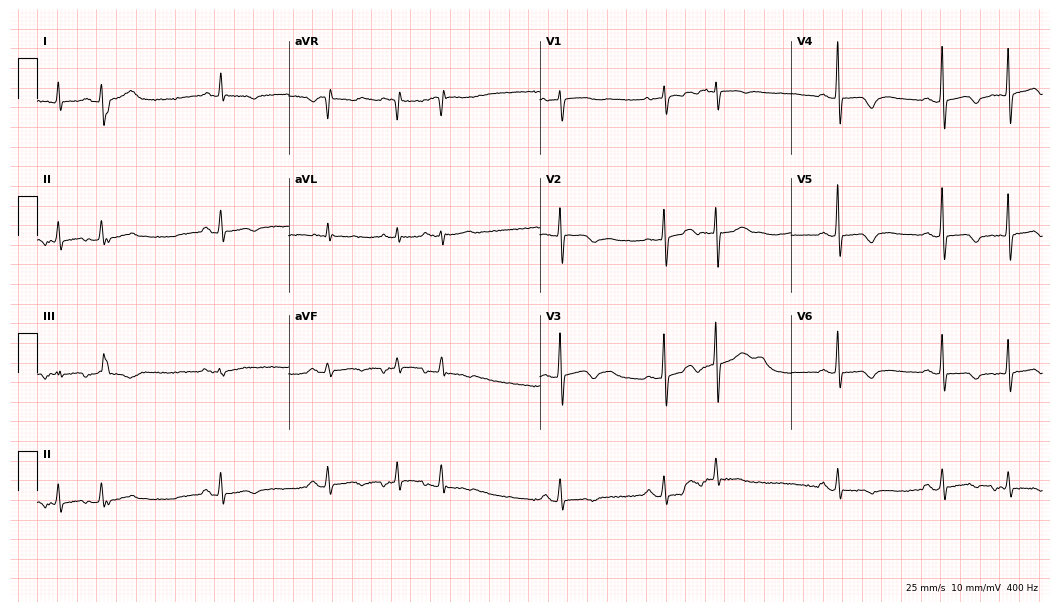
12-lead ECG from a female, 73 years old. No first-degree AV block, right bundle branch block, left bundle branch block, sinus bradycardia, atrial fibrillation or sinus tachycardia recorded for this tracing. Only these six findings were labelled.